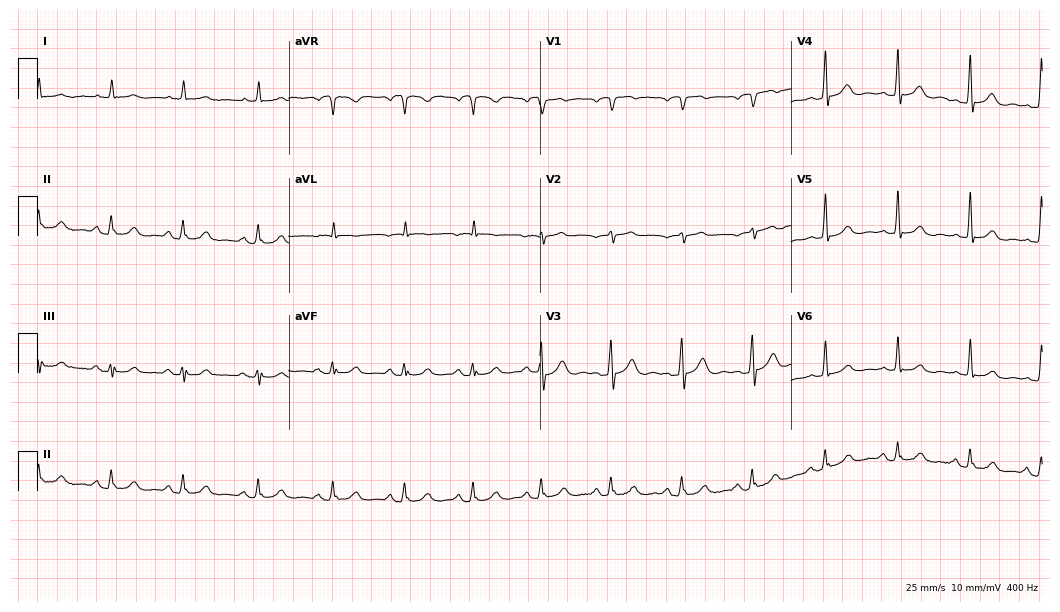
ECG (10.2-second recording at 400 Hz) — a 75-year-old male. Labelled as a normal ECG.